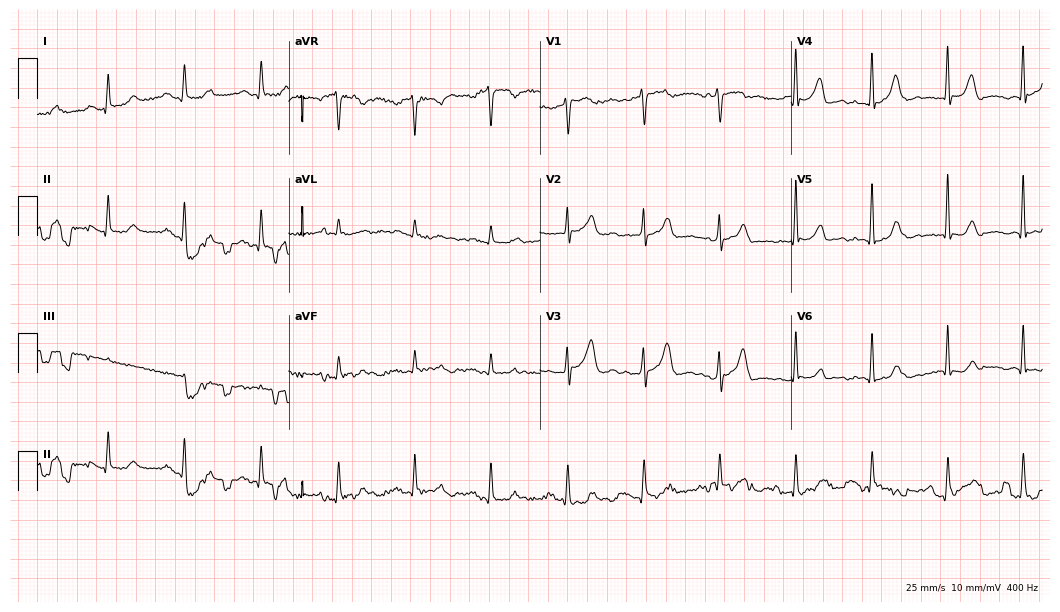
12-lead ECG (10.2-second recording at 400 Hz) from an 81-year-old male patient. Screened for six findings — first-degree AV block, right bundle branch block, left bundle branch block, sinus bradycardia, atrial fibrillation, sinus tachycardia — none is recorded. Only these six findings were labelled.